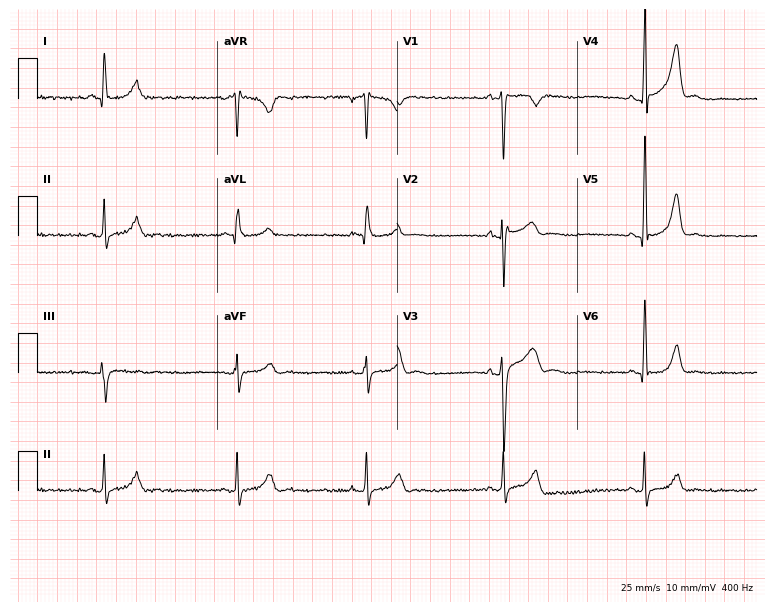
12-lead ECG from a 25-year-old female. Shows sinus bradycardia (a sinus rate of 50 beats per minute or less).